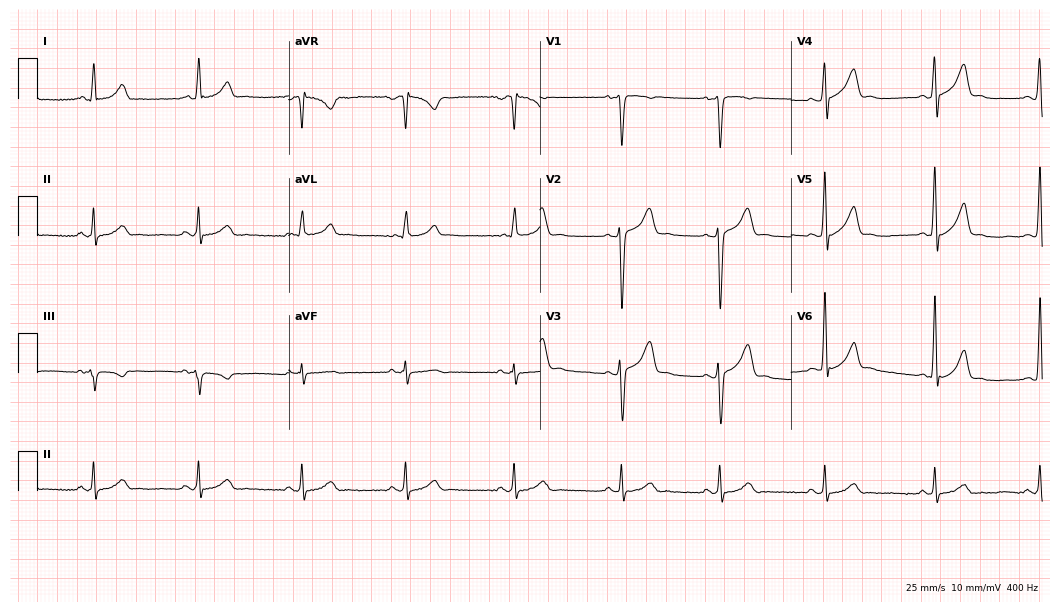
ECG — a 27-year-old man. Labelled as a normal ECG.